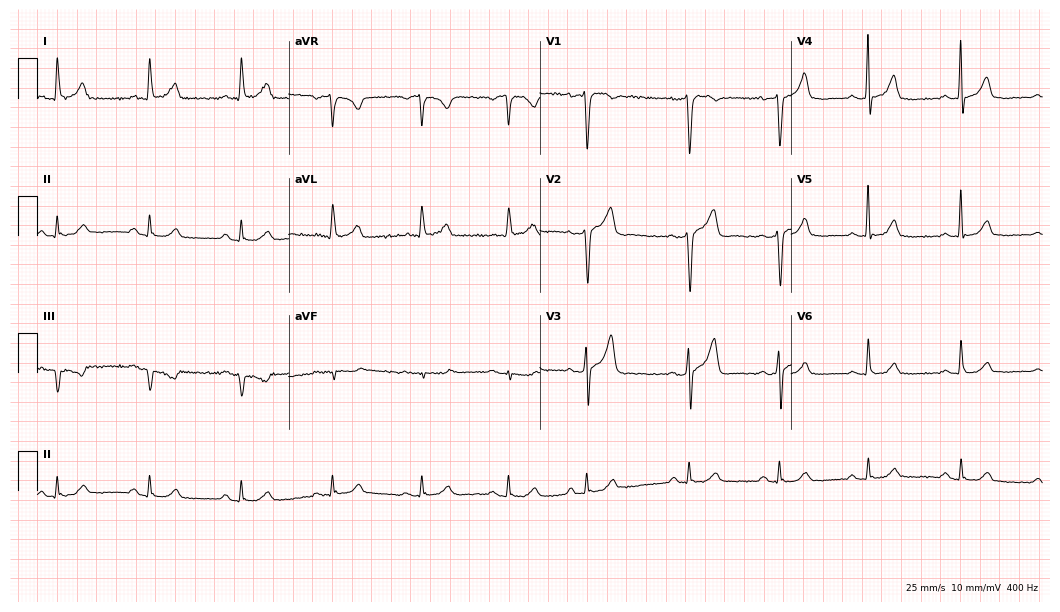
12-lead ECG from a 58-year-old woman. No first-degree AV block, right bundle branch block (RBBB), left bundle branch block (LBBB), sinus bradycardia, atrial fibrillation (AF) or sinus tachycardia recorded for this tracing.